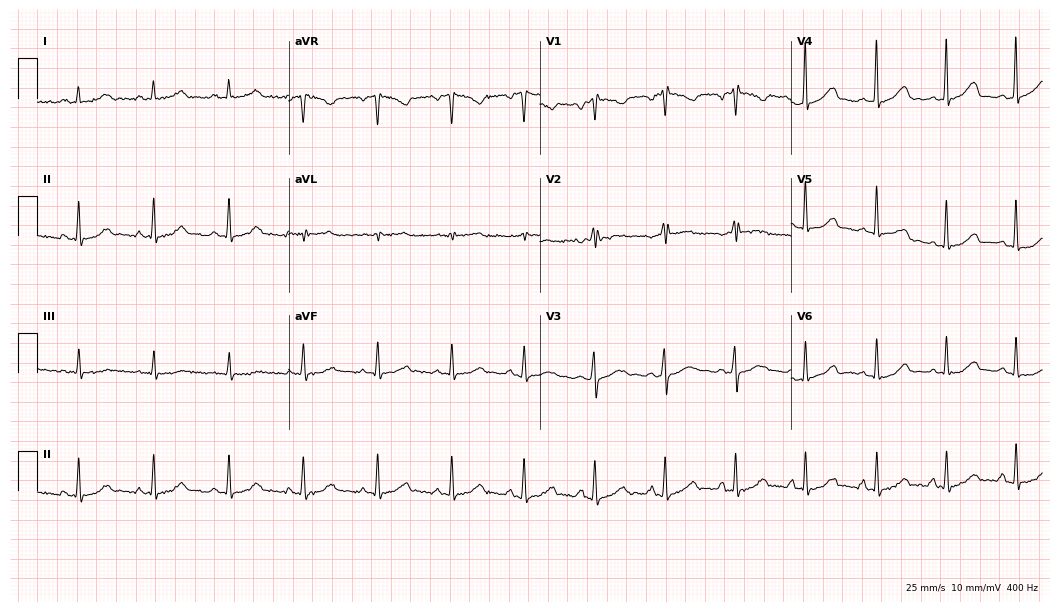
Standard 12-lead ECG recorded from a woman, 41 years old (10.2-second recording at 400 Hz). None of these six findings is recorded: first-degree AV block, right bundle branch block, left bundle branch block, sinus bradycardia, atrial fibrillation, sinus tachycardia. Only these six findings were labelled.